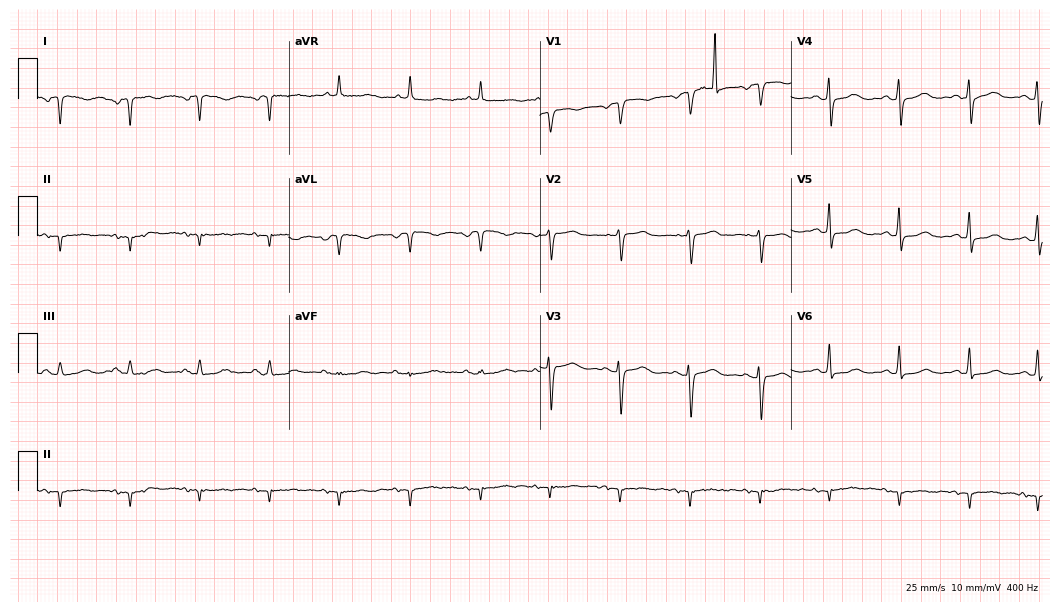
12-lead ECG from a female, 85 years old. No first-degree AV block, right bundle branch block (RBBB), left bundle branch block (LBBB), sinus bradycardia, atrial fibrillation (AF) or sinus tachycardia recorded for this tracing.